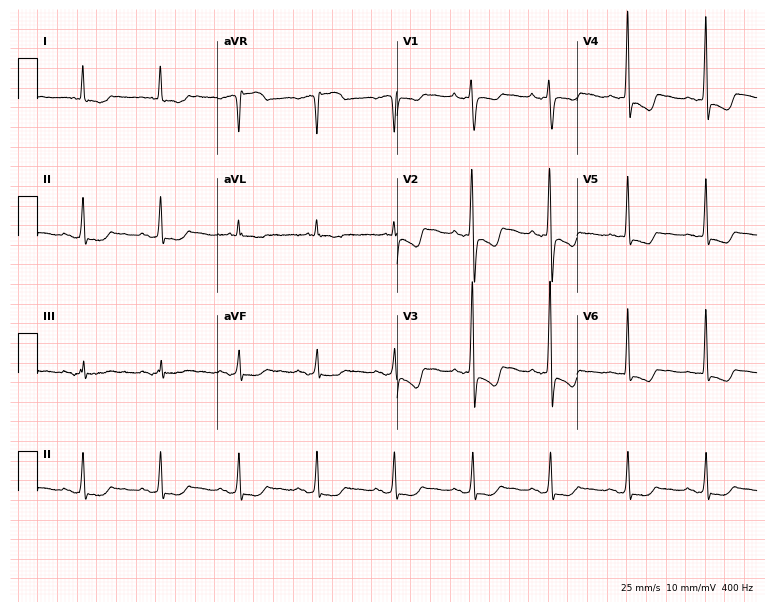
12-lead ECG from a 39-year-old female (7.3-second recording at 400 Hz). No first-degree AV block, right bundle branch block (RBBB), left bundle branch block (LBBB), sinus bradycardia, atrial fibrillation (AF) or sinus tachycardia recorded for this tracing.